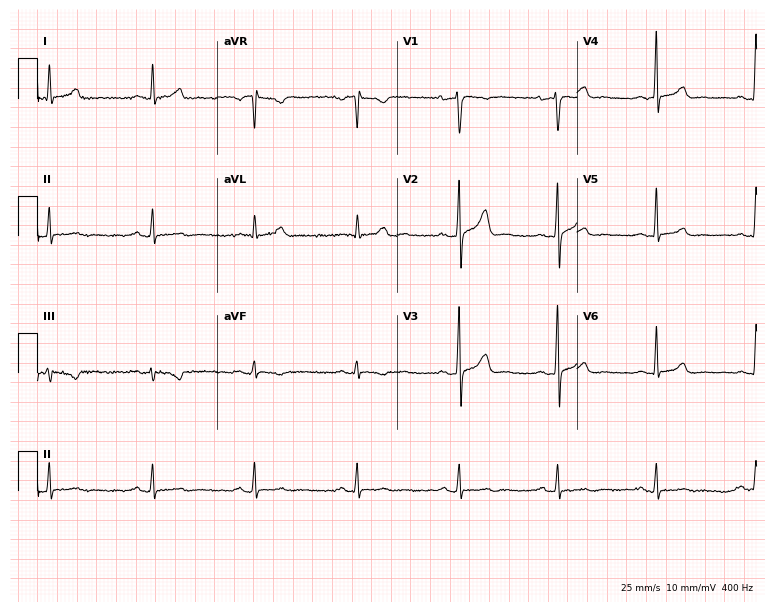
12-lead ECG (7.3-second recording at 400 Hz) from a 43-year-old man. Screened for six findings — first-degree AV block, right bundle branch block, left bundle branch block, sinus bradycardia, atrial fibrillation, sinus tachycardia — none is recorded.